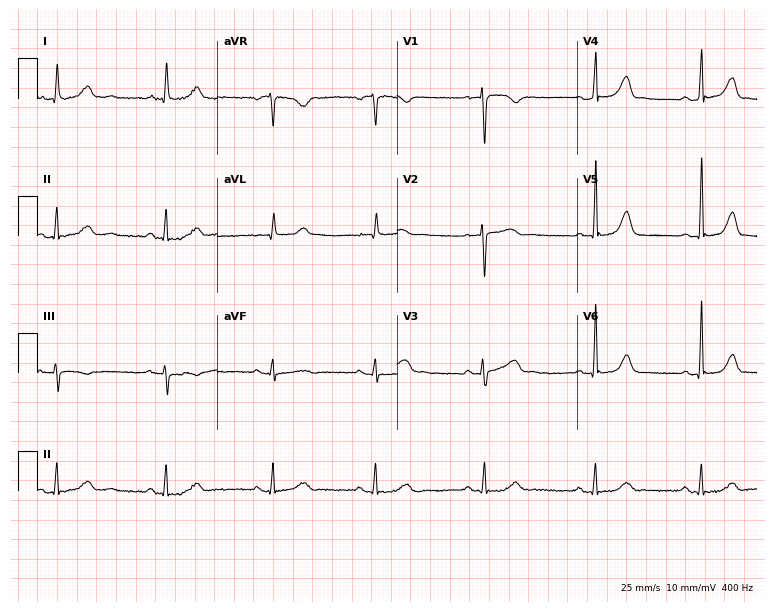
12-lead ECG from a female patient, 48 years old (7.3-second recording at 400 Hz). No first-degree AV block, right bundle branch block (RBBB), left bundle branch block (LBBB), sinus bradycardia, atrial fibrillation (AF) or sinus tachycardia recorded for this tracing. Findings outside these six are not listed.